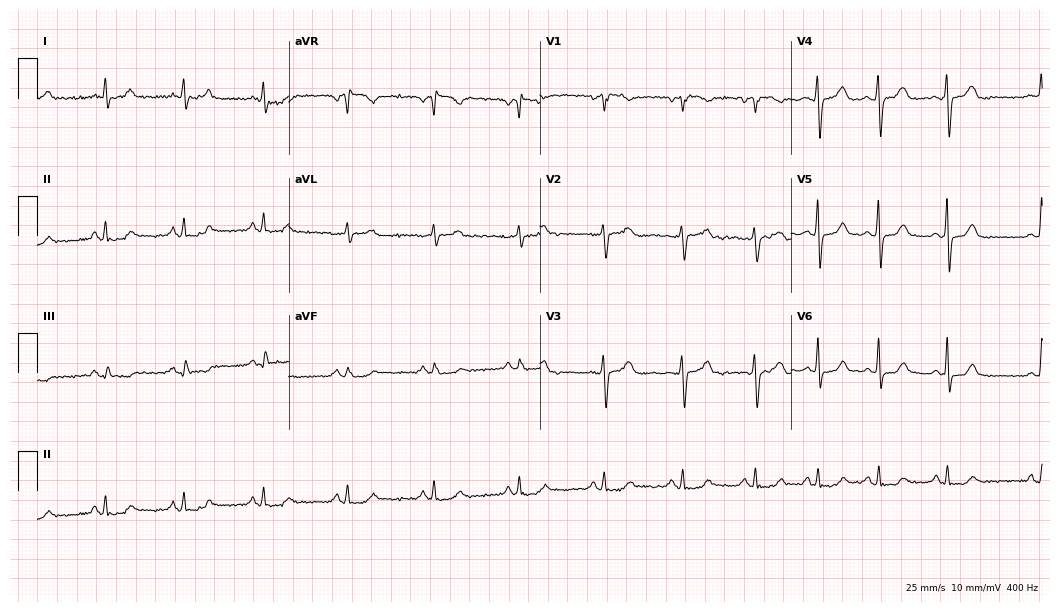
12-lead ECG from a 48-year-old female. Recorded interpretation: within normal limits.